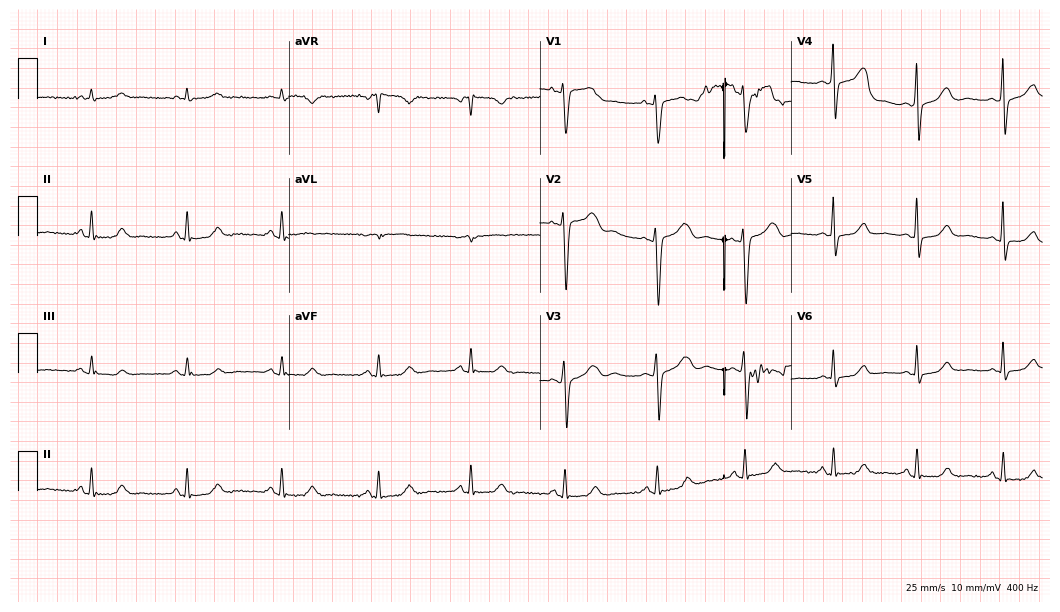
12-lead ECG from a woman, 55 years old (10.2-second recording at 400 Hz). No first-degree AV block, right bundle branch block, left bundle branch block, sinus bradycardia, atrial fibrillation or sinus tachycardia recorded for this tracing.